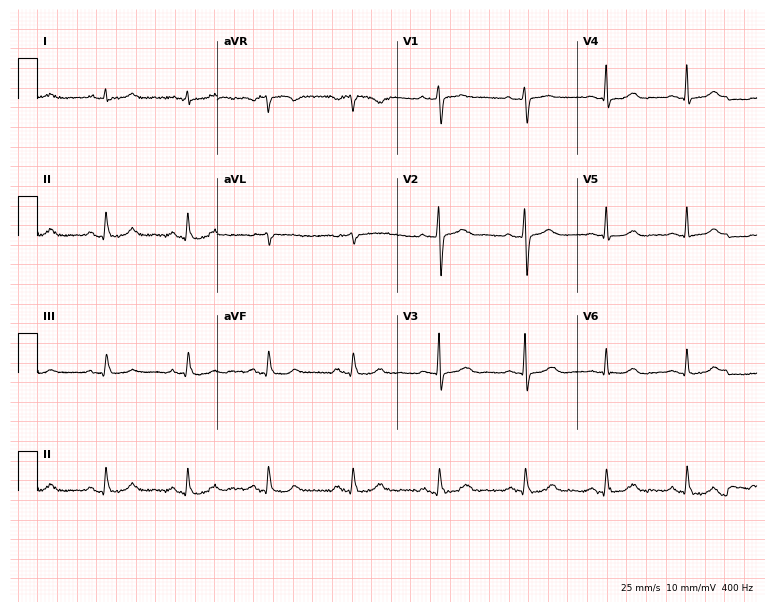
12-lead ECG (7.3-second recording at 400 Hz) from a female, 48 years old. Labelled as a normal ECG.